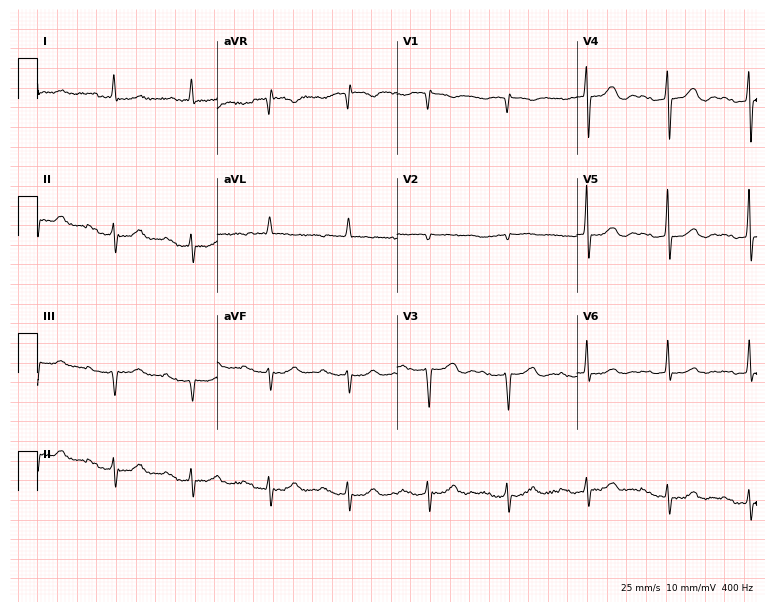
Resting 12-lead electrocardiogram. Patient: an 82-year-old woman. The tracing shows first-degree AV block.